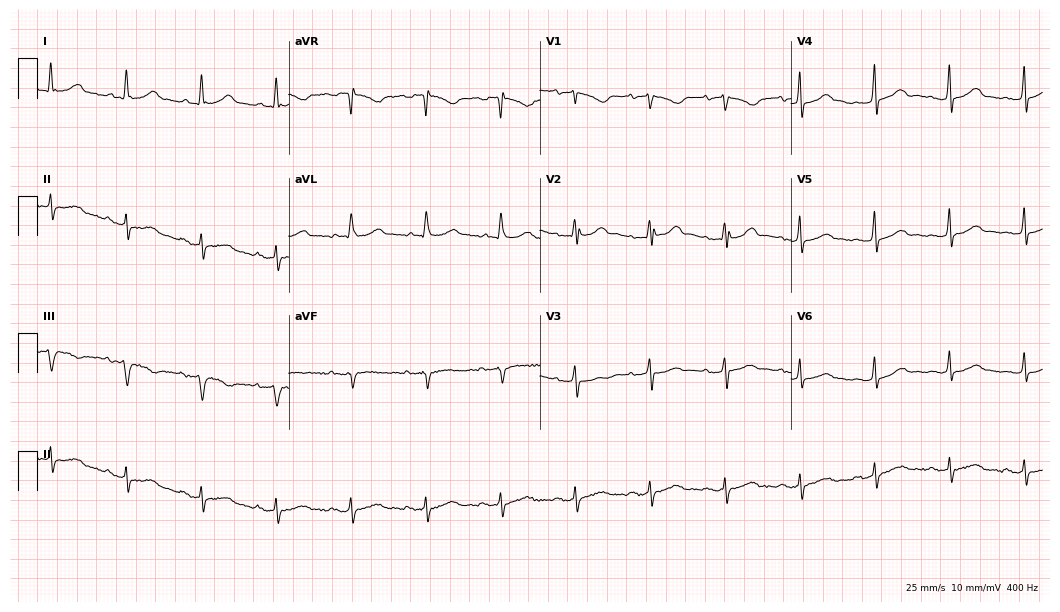
12-lead ECG from a 63-year-old woman. Recorded interpretation: within normal limits.